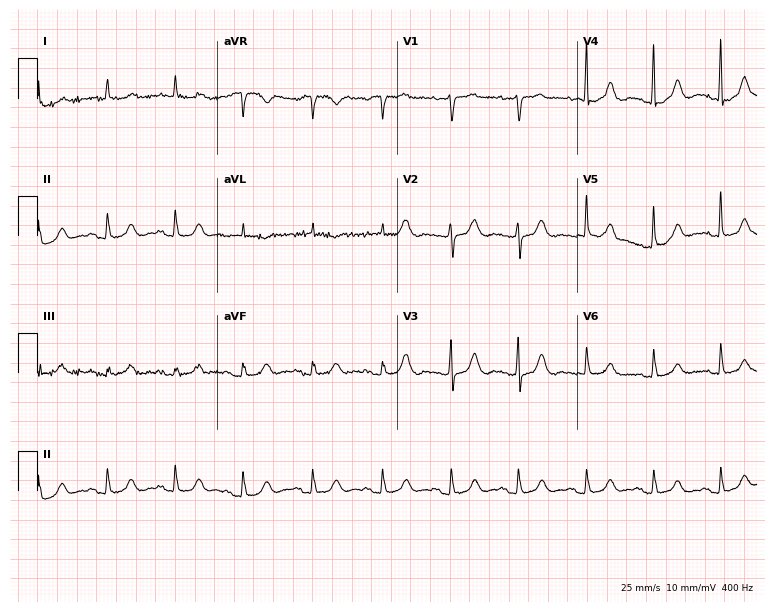
Electrocardiogram (7.3-second recording at 400 Hz), a woman, 84 years old. Overall reading on record: normal ECG.